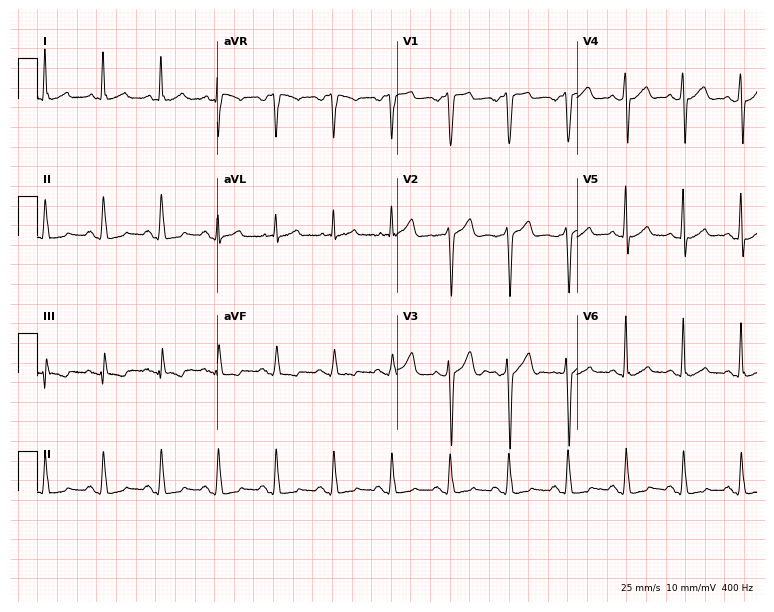
ECG (7.3-second recording at 400 Hz) — a 52-year-old man. Findings include sinus tachycardia (a sinus rate of 100 beats per minute or more).